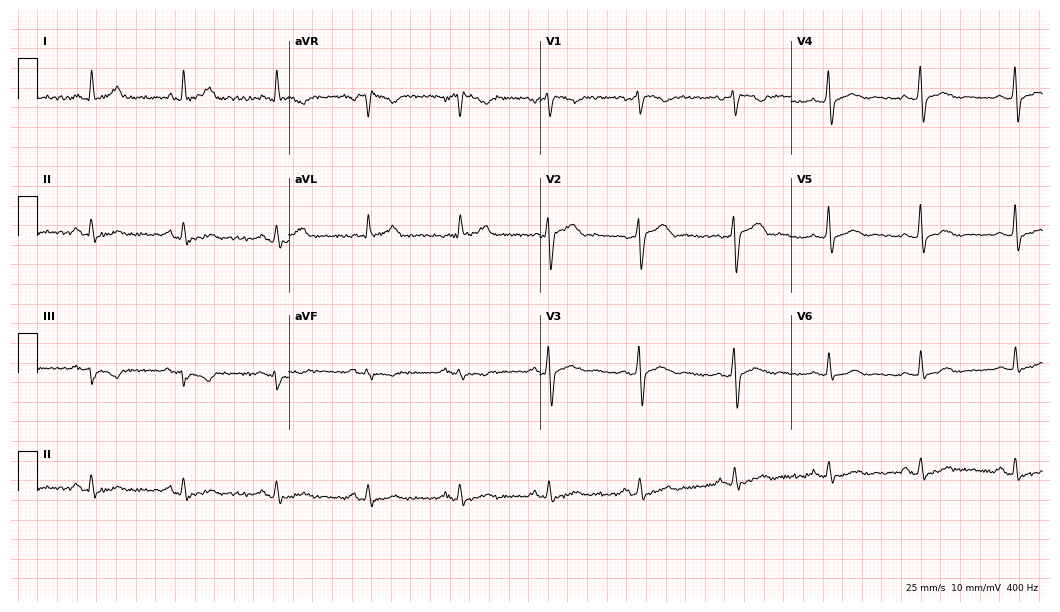
Standard 12-lead ECG recorded from a male patient, 47 years old (10.2-second recording at 400 Hz). None of these six findings is recorded: first-degree AV block, right bundle branch block, left bundle branch block, sinus bradycardia, atrial fibrillation, sinus tachycardia. Other findings, if any, are not listed.